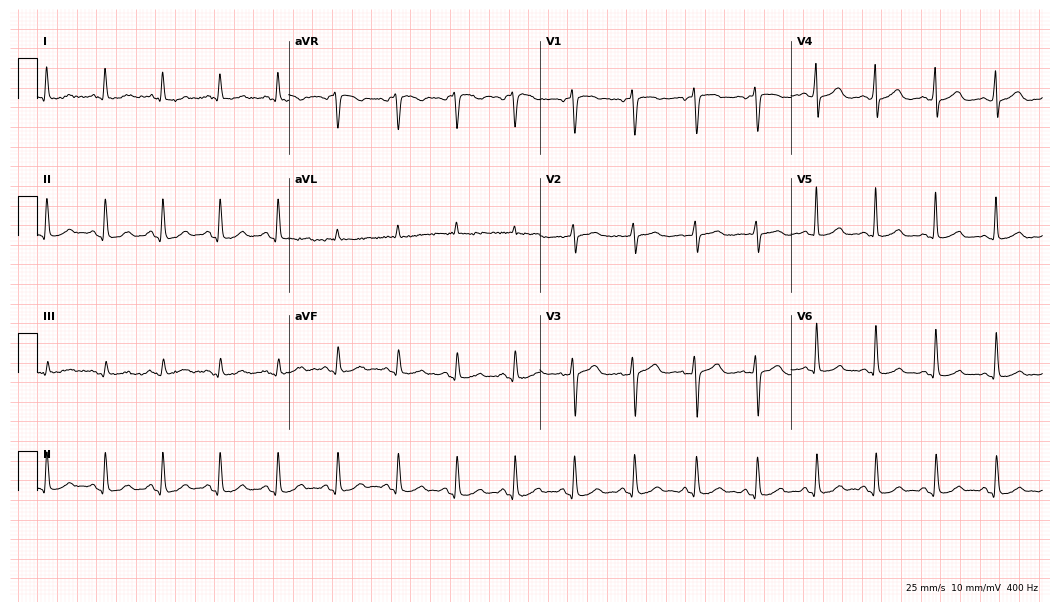
Resting 12-lead electrocardiogram. Patient: a female, 47 years old. None of these six findings is recorded: first-degree AV block, right bundle branch block, left bundle branch block, sinus bradycardia, atrial fibrillation, sinus tachycardia.